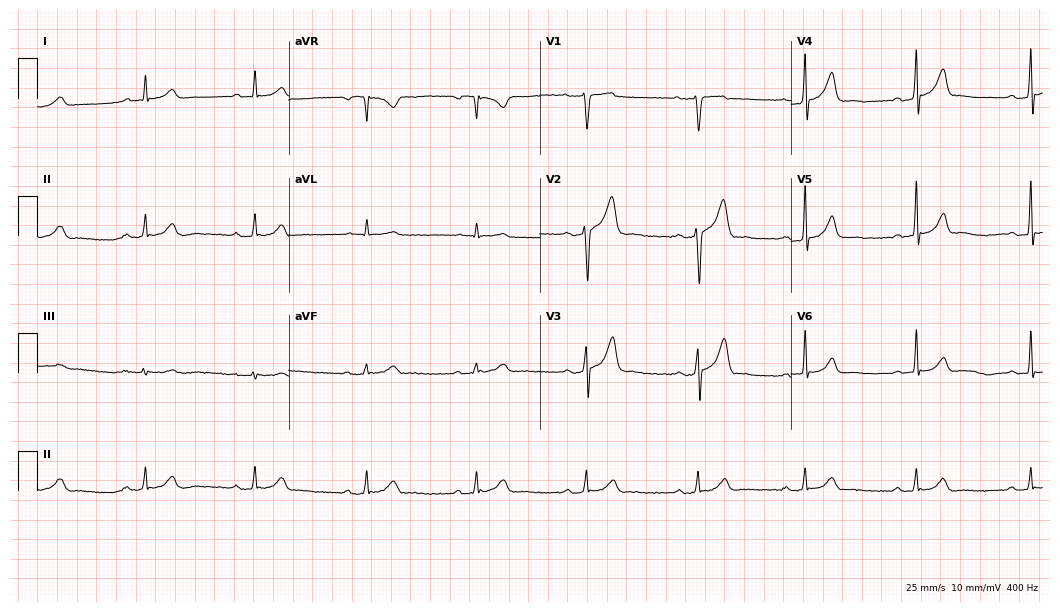
ECG (10.2-second recording at 400 Hz) — a 38-year-old man. Labelled as a normal ECG.